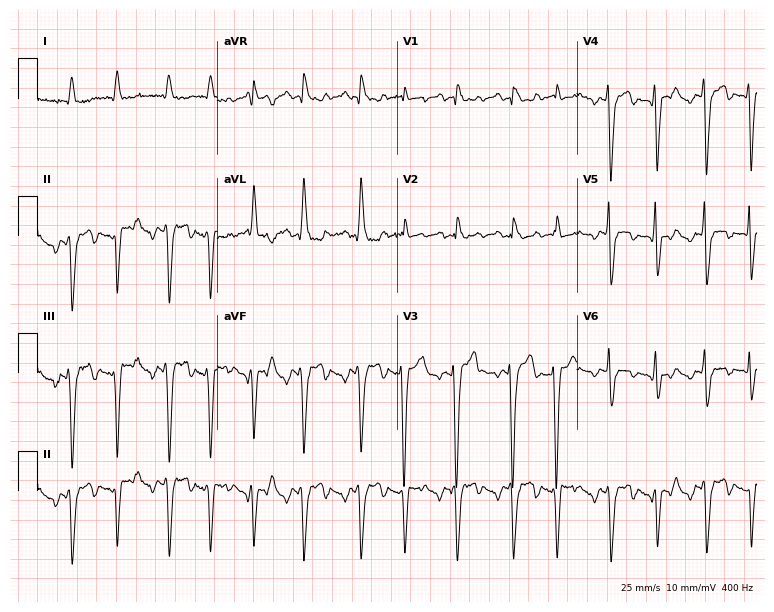
12-lead ECG from a male, 77 years old (7.3-second recording at 400 Hz). No first-degree AV block, right bundle branch block, left bundle branch block, sinus bradycardia, atrial fibrillation or sinus tachycardia recorded for this tracing. Findings outside these six are not listed.